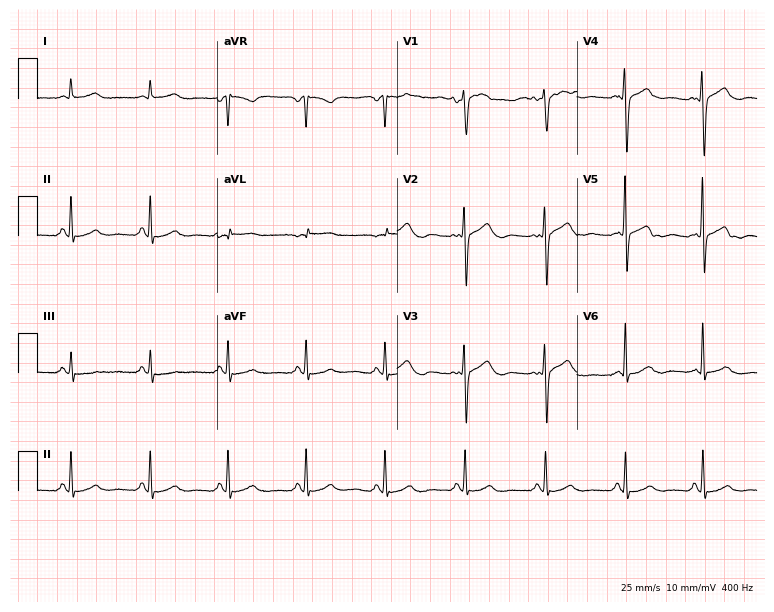
ECG — a female, 50 years old. Labelled as a normal ECG.